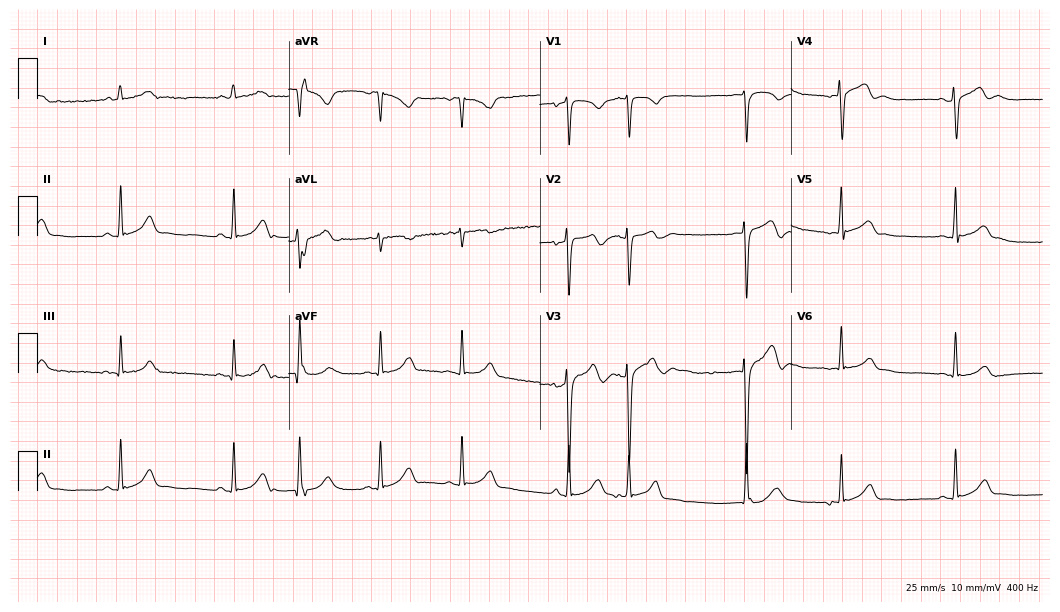
ECG — a male, 18 years old. Screened for six findings — first-degree AV block, right bundle branch block, left bundle branch block, sinus bradycardia, atrial fibrillation, sinus tachycardia — none is recorded. Findings outside these six are not listed.